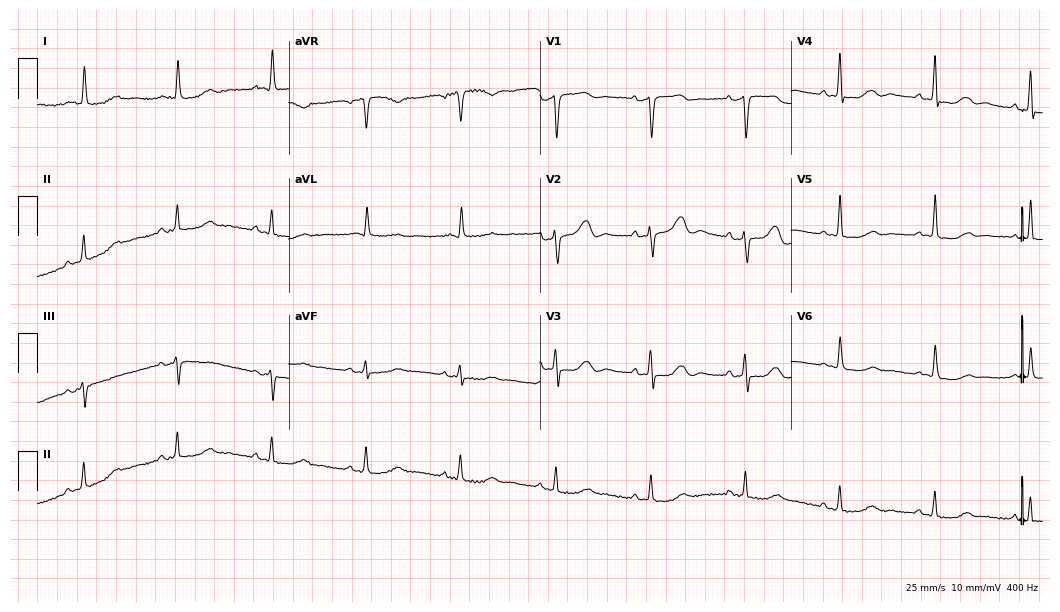
Electrocardiogram, a 76-year-old woman. Overall reading on record: normal ECG.